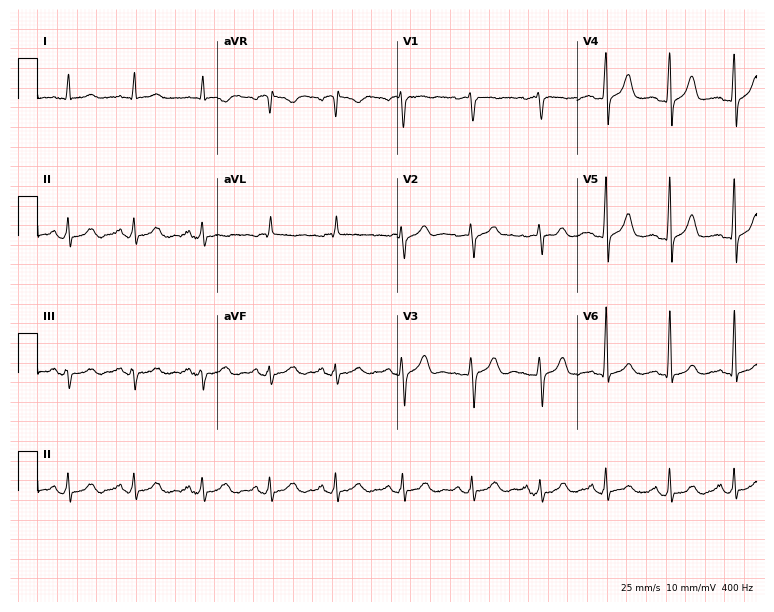
Electrocardiogram, a 79-year-old man. Of the six screened findings (first-degree AV block, right bundle branch block, left bundle branch block, sinus bradycardia, atrial fibrillation, sinus tachycardia), none is recorded. Findings outside these six are not listed.